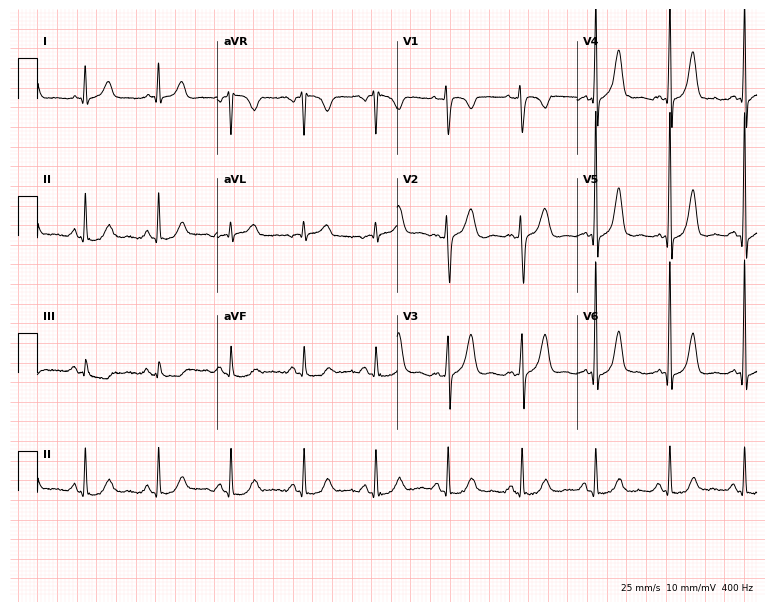
12-lead ECG from a 27-year-old woman. Recorded interpretation: within normal limits.